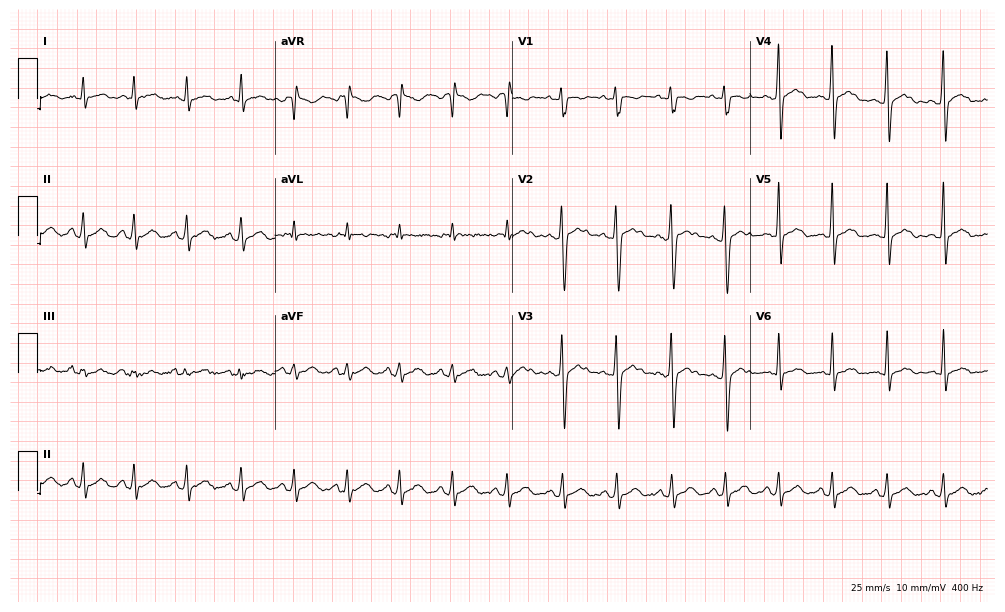
Resting 12-lead electrocardiogram (9.7-second recording at 400 Hz). Patient: a woman, 25 years old. The tracing shows sinus tachycardia (a sinus rate of 100 beats per minute or more).